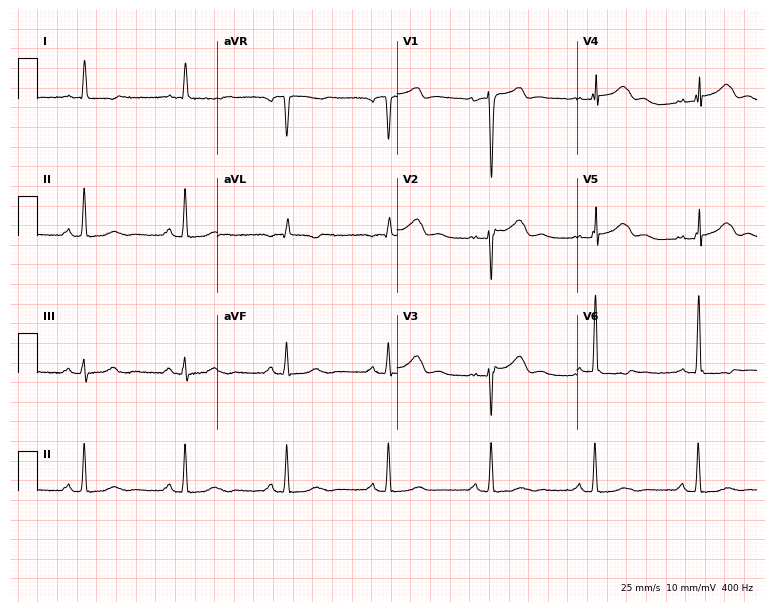
Electrocardiogram (7.3-second recording at 400 Hz), a 68-year-old male. Overall reading on record: normal ECG.